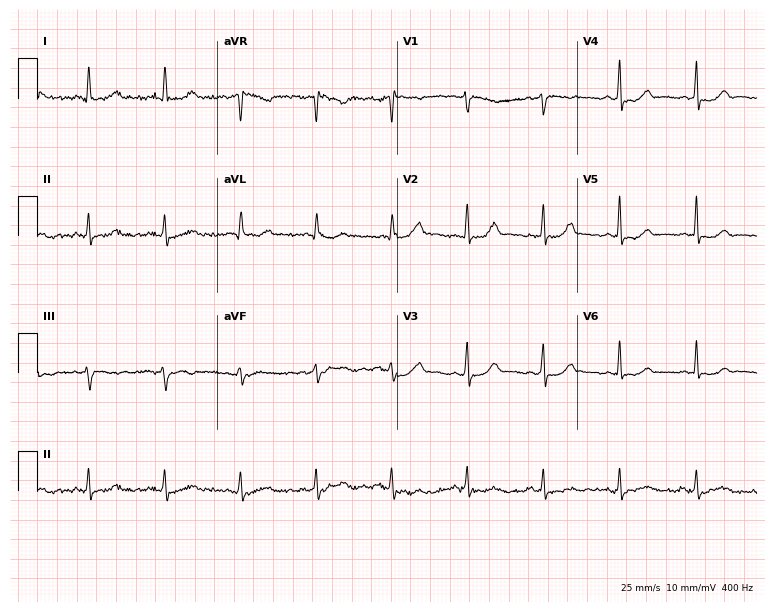
12-lead ECG (7.3-second recording at 400 Hz) from a female patient, 60 years old. Labelled as a normal ECG.